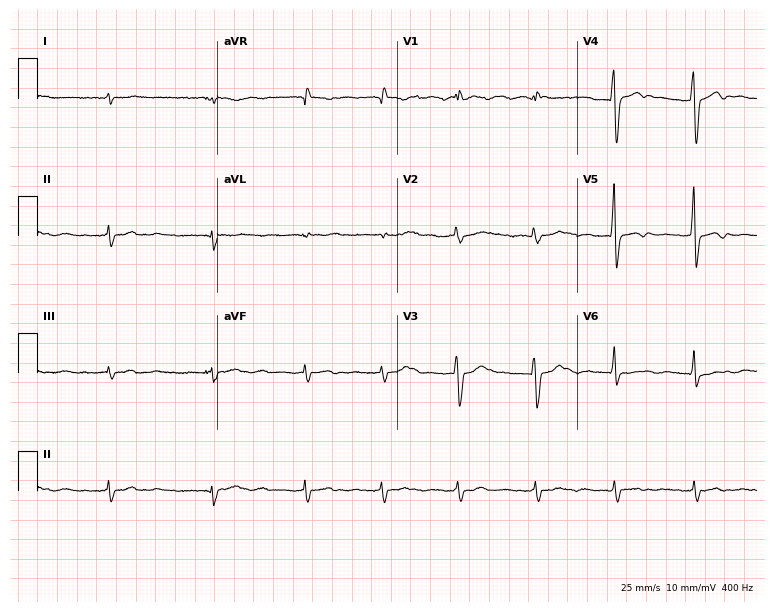
Electrocardiogram, a man, 80 years old. Interpretation includes atrial fibrillation.